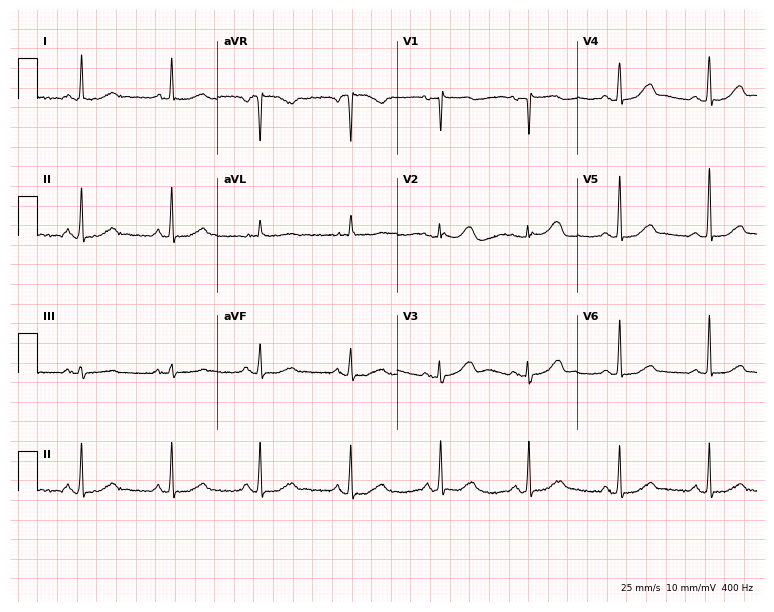
12-lead ECG (7.3-second recording at 400 Hz) from a 48-year-old woman. Labelled as a normal ECG.